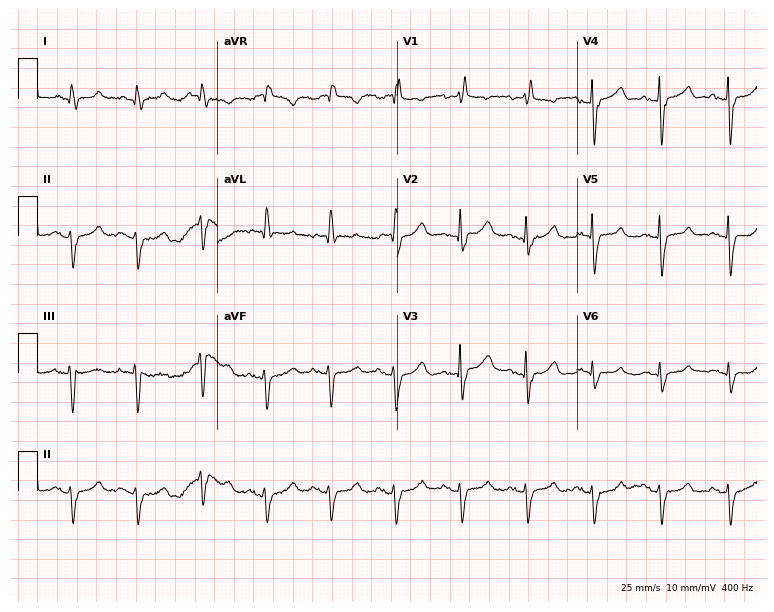
12-lead ECG from a woman, 80 years old. No first-degree AV block, right bundle branch block (RBBB), left bundle branch block (LBBB), sinus bradycardia, atrial fibrillation (AF) or sinus tachycardia recorded for this tracing.